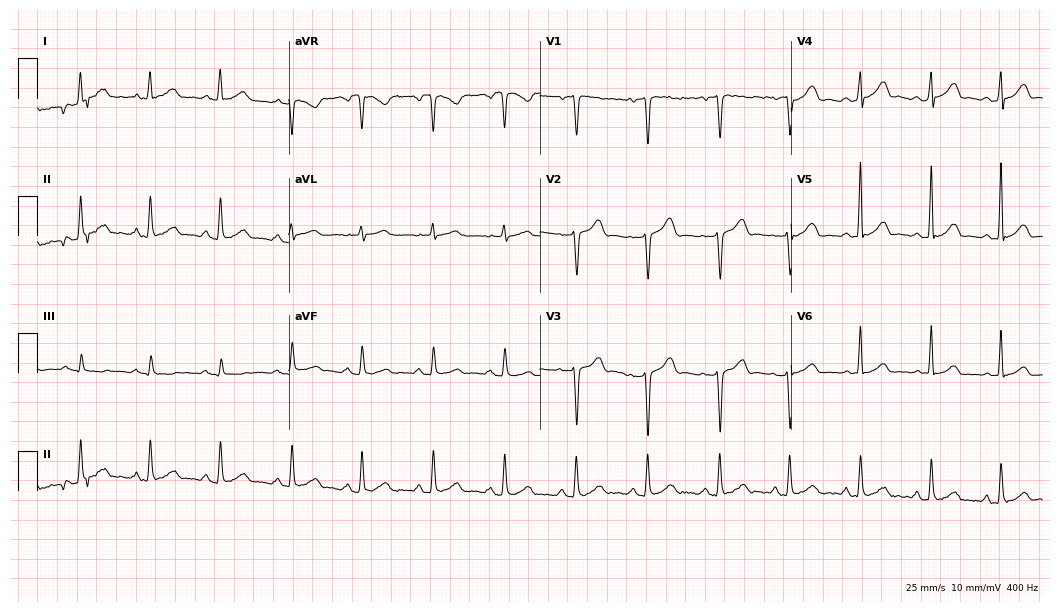
12-lead ECG from a 45-year-old female (10.2-second recording at 400 Hz). No first-degree AV block, right bundle branch block (RBBB), left bundle branch block (LBBB), sinus bradycardia, atrial fibrillation (AF) or sinus tachycardia recorded for this tracing. Findings outside these six are not listed.